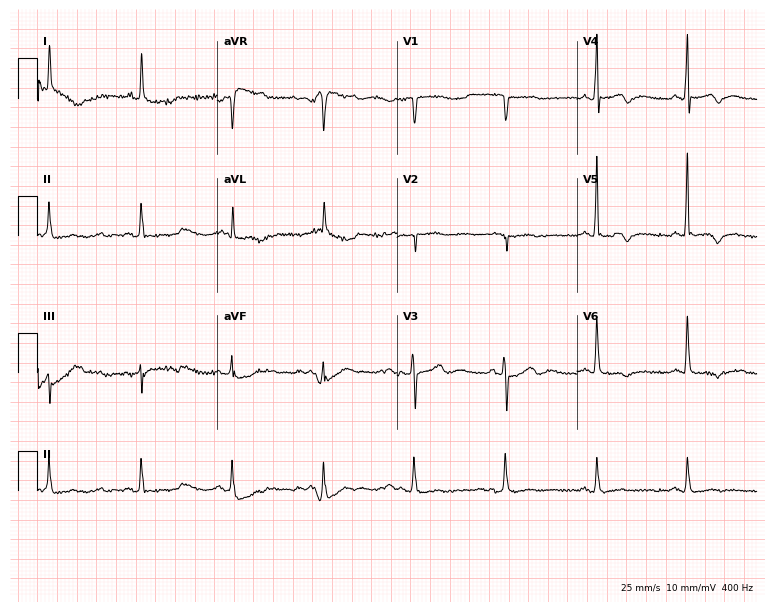
ECG — a male, 80 years old. Screened for six findings — first-degree AV block, right bundle branch block (RBBB), left bundle branch block (LBBB), sinus bradycardia, atrial fibrillation (AF), sinus tachycardia — none is recorded. Only these six findings were labelled.